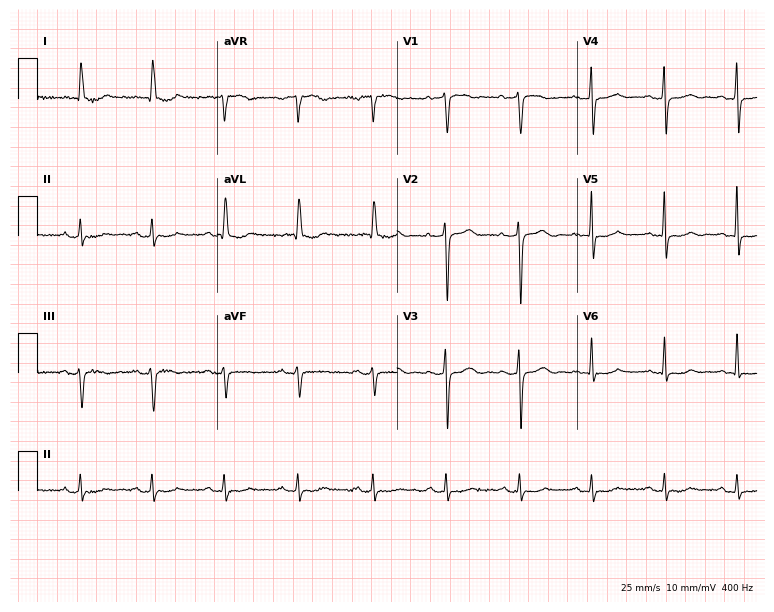
Resting 12-lead electrocardiogram (7.3-second recording at 400 Hz). Patient: an 82-year-old woman. None of these six findings is recorded: first-degree AV block, right bundle branch block, left bundle branch block, sinus bradycardia, atrial fibrillation, sinus tachycardia. Only these six findings were labelled.